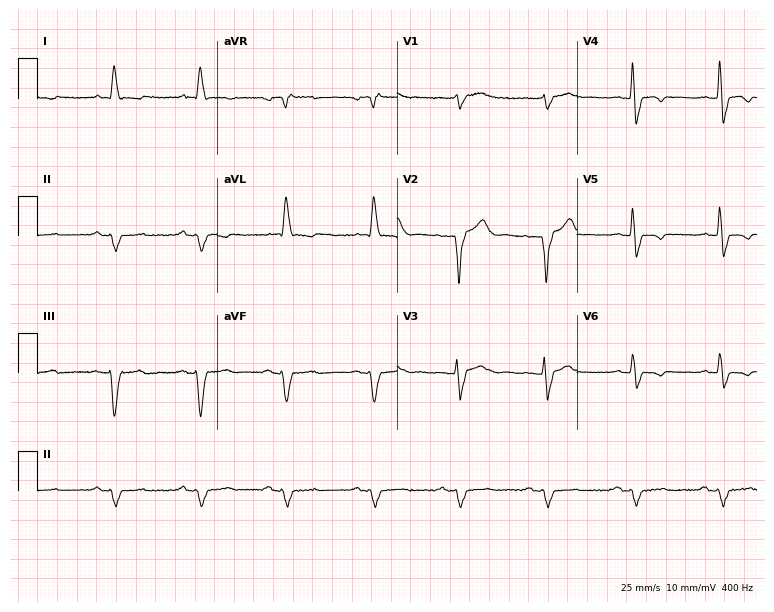
12-lead ECG (7.3-second recording at 400 Hz) from a man, 59 years old. Findings include left bundle branch block.